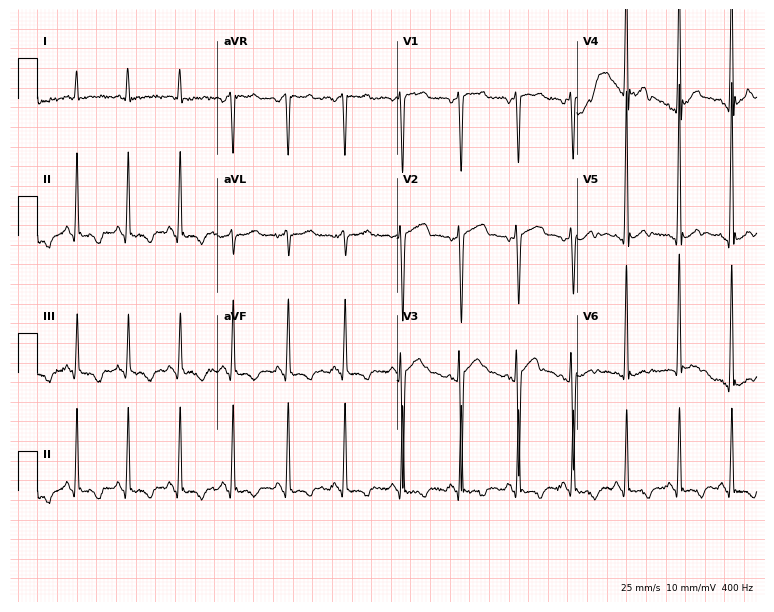
ECG (7.3-second recording at 400 Hz) — a 39-year-old man. Findings include sinus tachycardia (a sinus rate of 100 beats per minute or more).